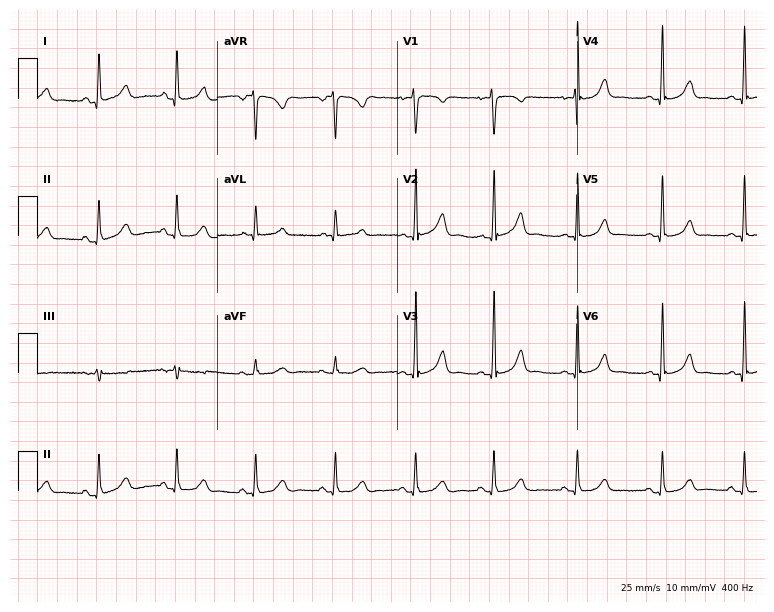
Resting 12-lead electrocardiogram. Patient: a female, 49 years old. Read as a normal ECG.